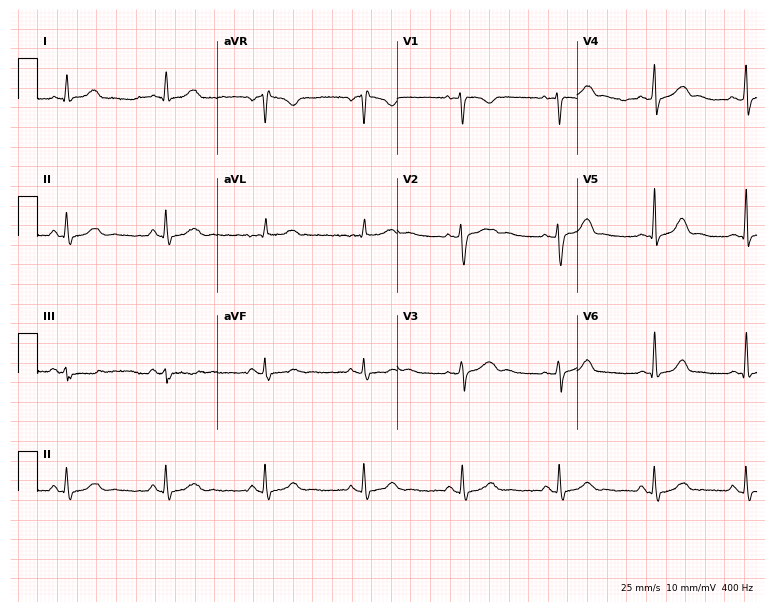
Resting 12-lead electrocardiogram. Patient: a female, 33 years old. Read as a normal ECG.